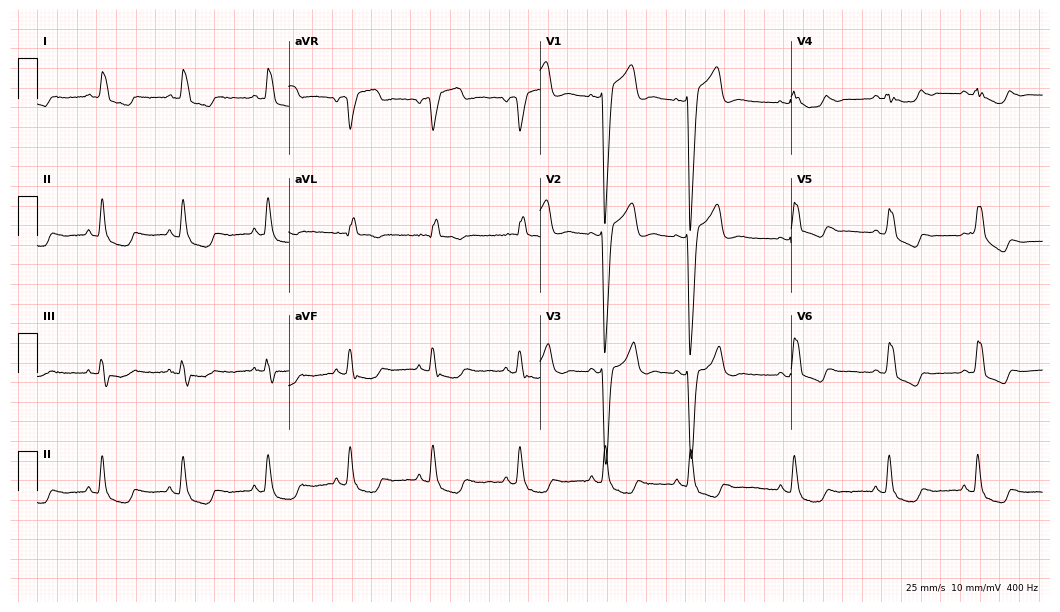
Standard 12-lead ECG recorded from a 58-year-old female. The tracing shows left bundle branch block.